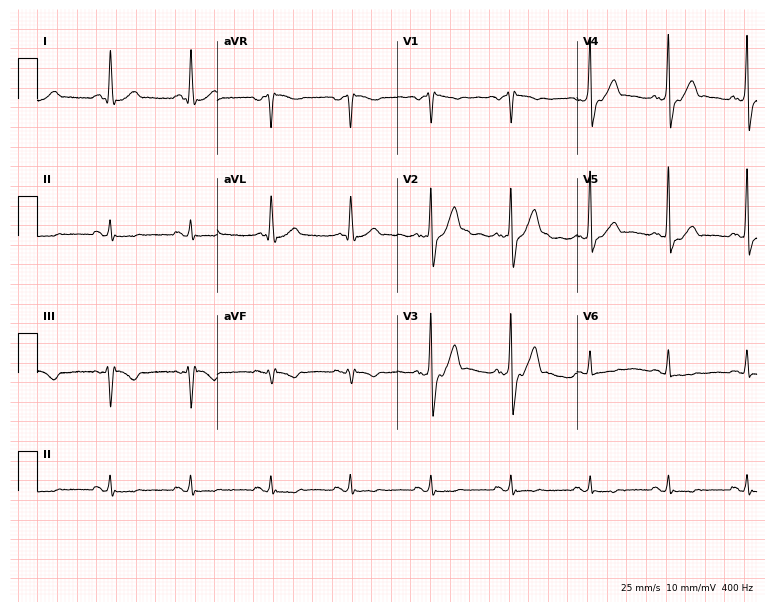
12-lead ECG (7.3-second recording at 400 Hz) from a male patient, 68 years old. Screened for six findings — first-degree AV block, right bundle branch block, left bundle branch block, sinus bradycardia, atrial fibrillation, sinus tachycardia — none is recorded.